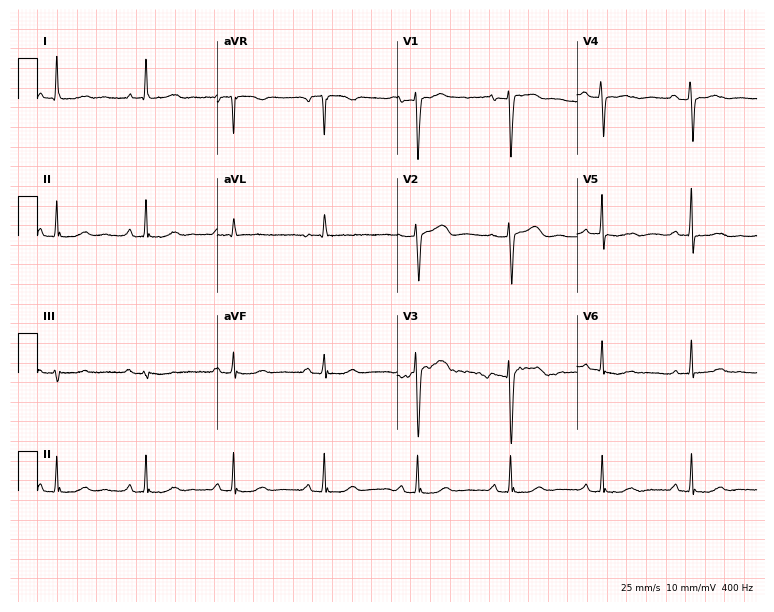
12-lead ECG from a female, 51 years old. Screened for six findings — first-degree AV block, right bundle branch block, left bundle branch block, sinus bradycardia, atrial fibrillation, sinus tachycardia — none is recorded.